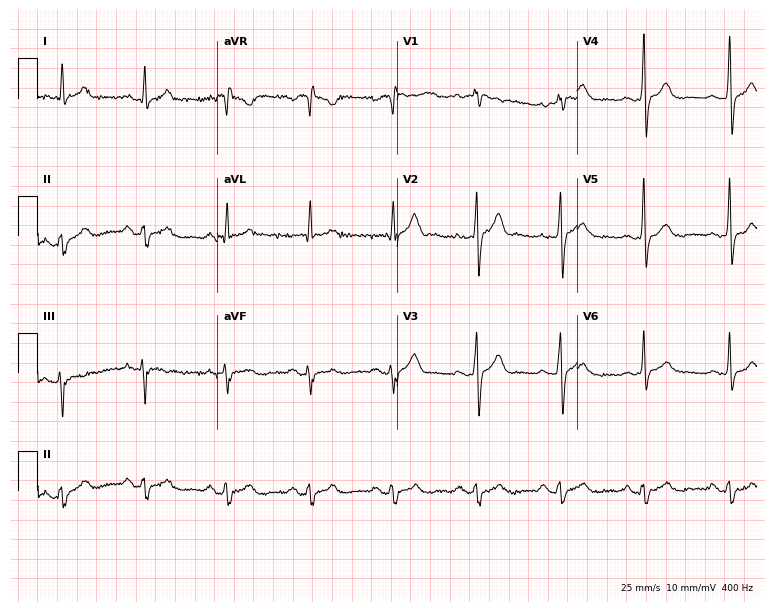
Standard 12-lead ECG recorded from a male, 52 years old (7.3-second recording at 400 Hz). Read as a normal ECG.